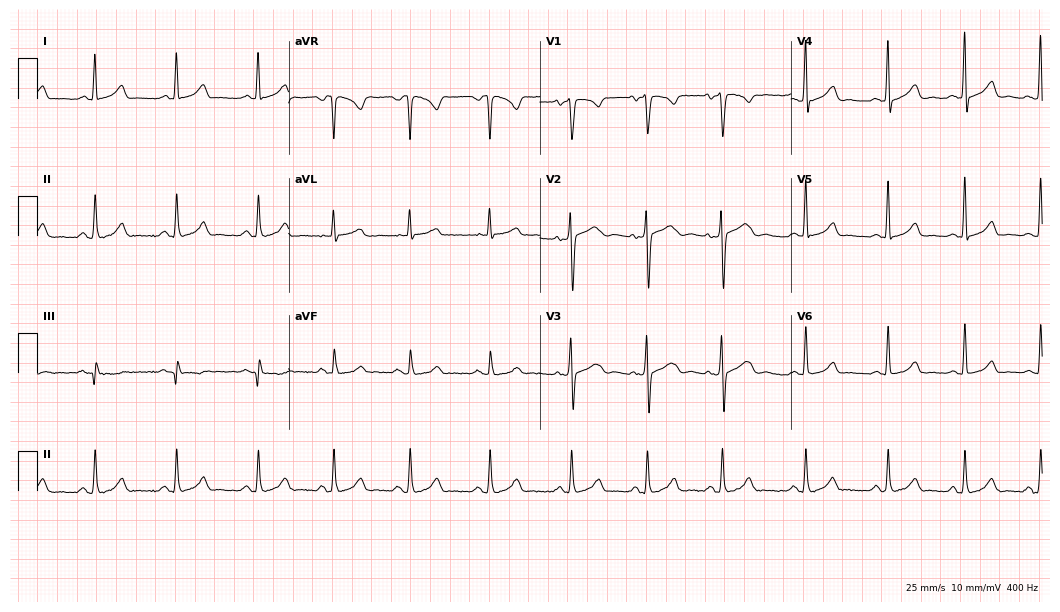
Resting 12-lead electrocardiogram (10.2-second recording at 400 Hz). Patient: a 31-year-old female. Read as a normal ECG.